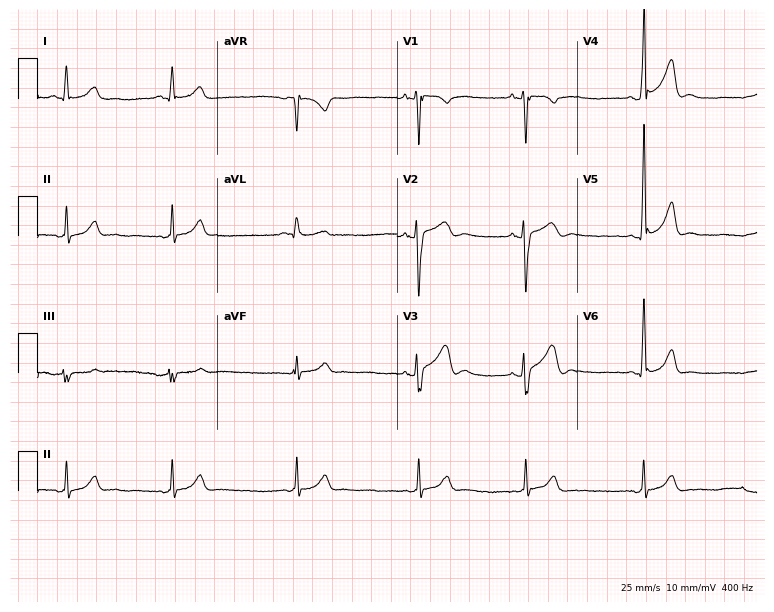
12-lead ECG from a 28-year-old male patient. Labelled as a normal ECG.